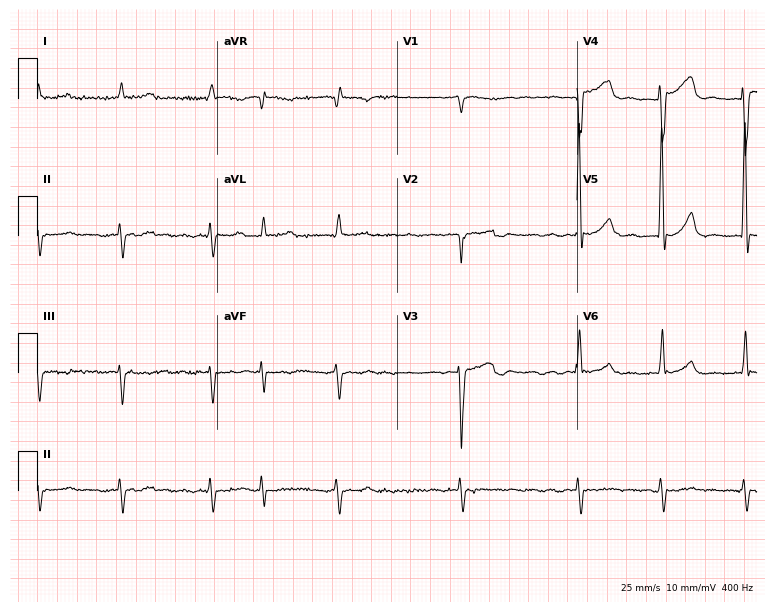
Resting 12-lead electrocardiogram (7.3-second recording at 400 Hz). Patient: a 74-year-old male. The tracing shows atrial fibrillation.